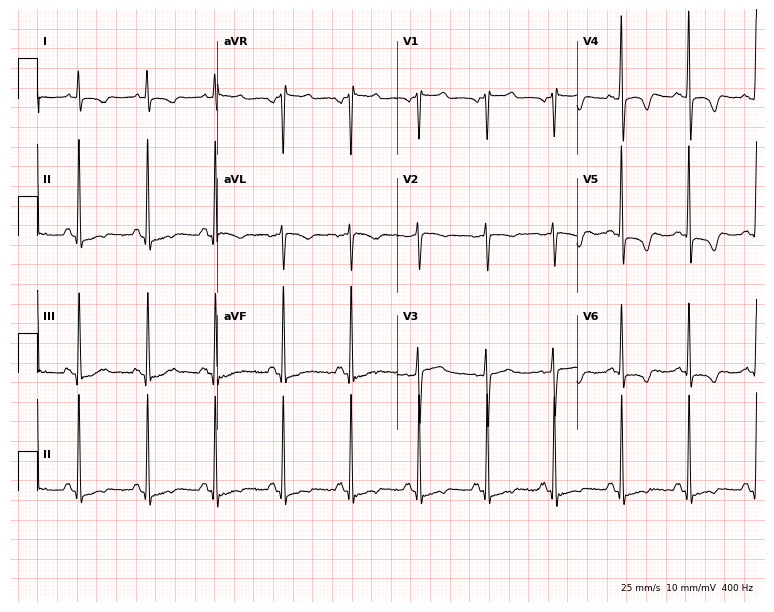
Resting 12-lead electrocardiogram (7.3-second recording at 400 Hz). Patient: a 61-year-old male. None of these six findings is recorded: first-degree AV block, right bundle branch block, left bundle branch block, sinus bradycardia, atrial fibrillation, sinus tachycardia.